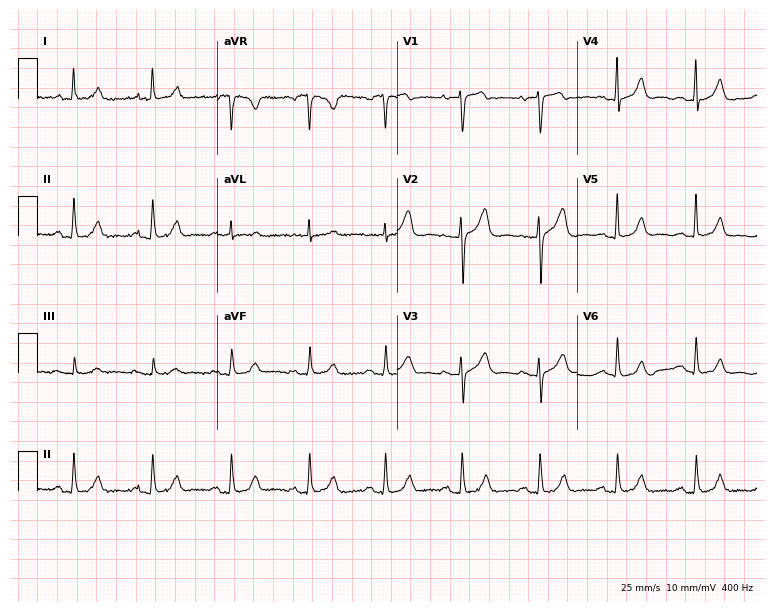
Standard 12-lead ECG recorded from a 69-year-old female patient. Read as a normal ECG.